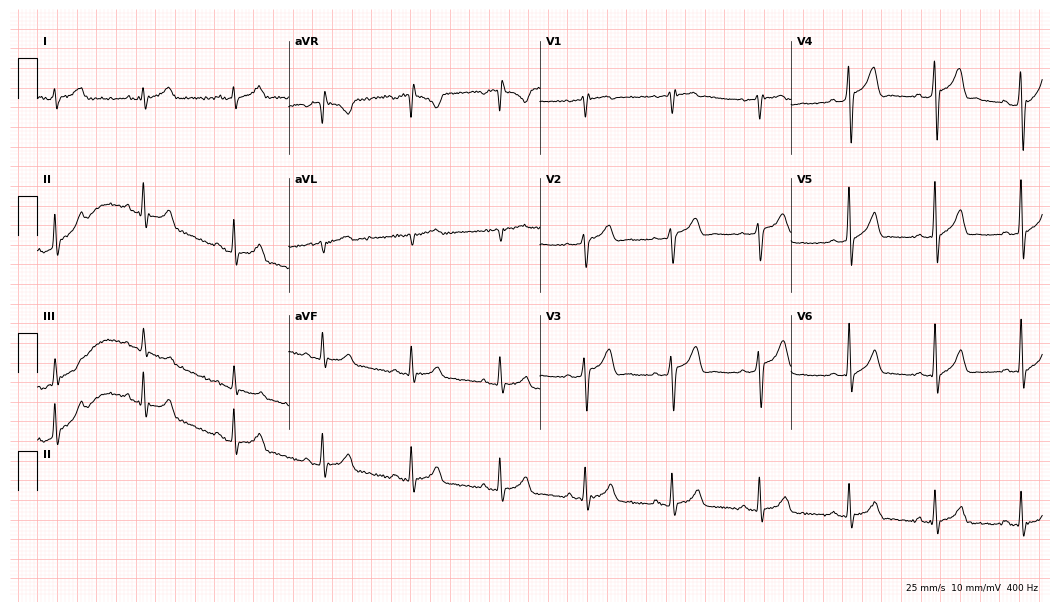
12-lead ECG from a 24-year-old male (10.2-second recording at 400 Hz). No first-degree AV block, right bundle branch block, left bundle branch block, sinus bradycardia, atrial fibrillation or sinus tachycardia recorded for this tracing. Other findings, if any, are not listed.